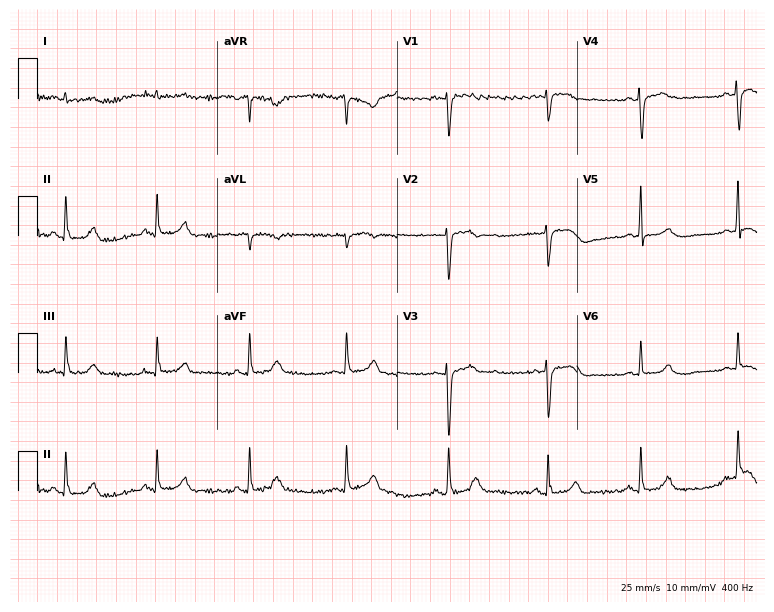
12-lead ECG from a female patient, 35 years old (7.3-second recording at 400 Hz). No first-degree AV block, right bundle branch block, left bundle branch block, sinus bradycardia, atrial fibrillation or sinus tachycardia recorded for this tracing. Findings outside these six are not listed.